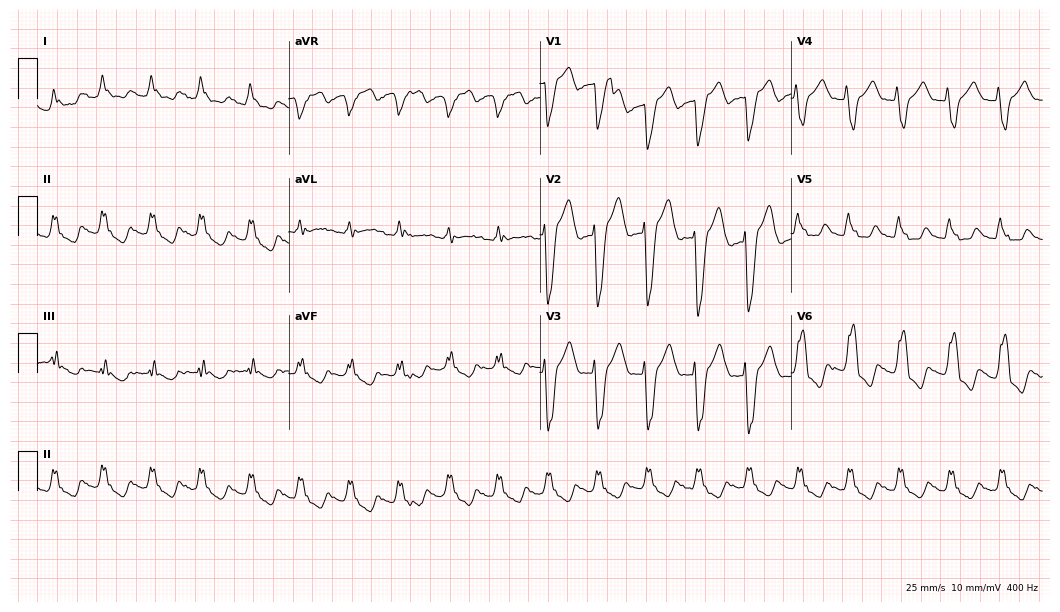
ECG — an 84-year-old female. Findings include left bundle branch block (LBBB).